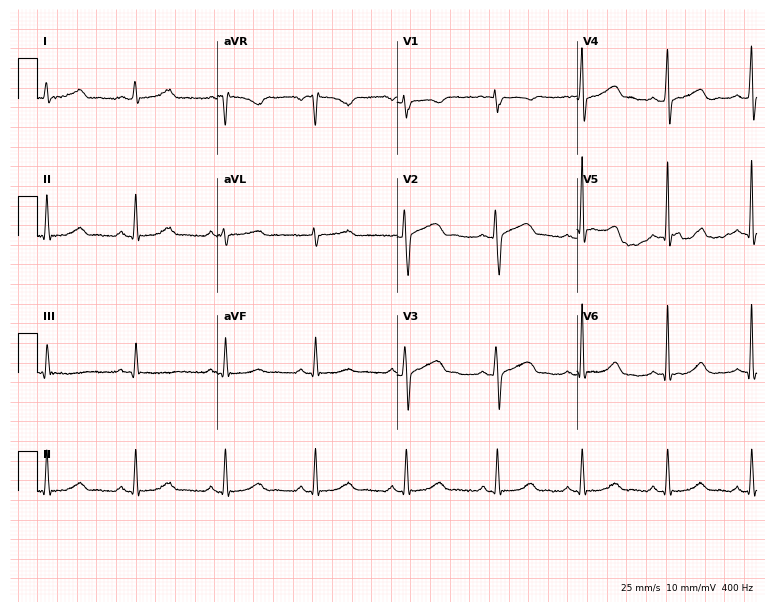
ECG — a 40-year-old female. Screened for six findings — first-degree AV block, right bundle branch block, left bundle branch block, sinus bradycardia, atrial fibrillation, sinus tachycardia — none is recorded. Other findings, if any, are not listed.